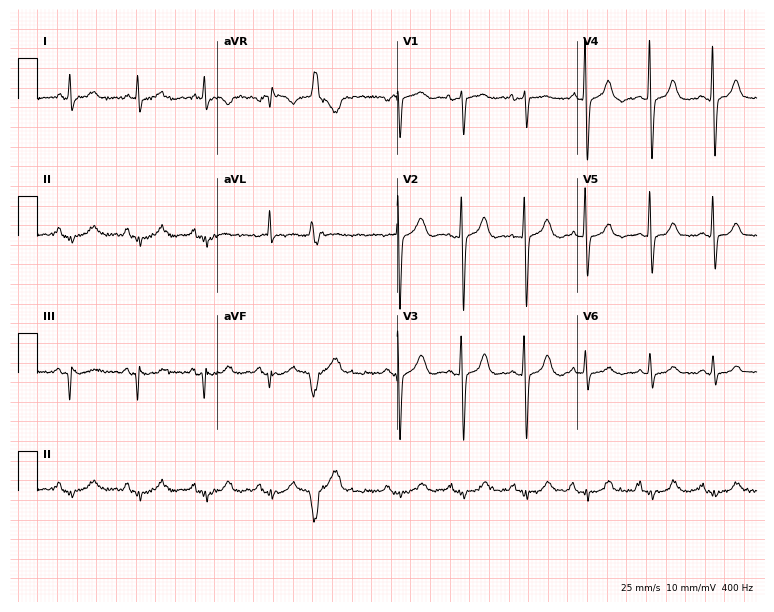
Standard 12-lead ECG recorded from an 82-year-old male (7.3-second recording at 400 Hz). None of these six findings is recorded: first-degree AV block, right bundle branch block, left bundle branch block, sinus bradycardia, atrial fibrillation, sinus tachycardia. Only these six findings were labelled.